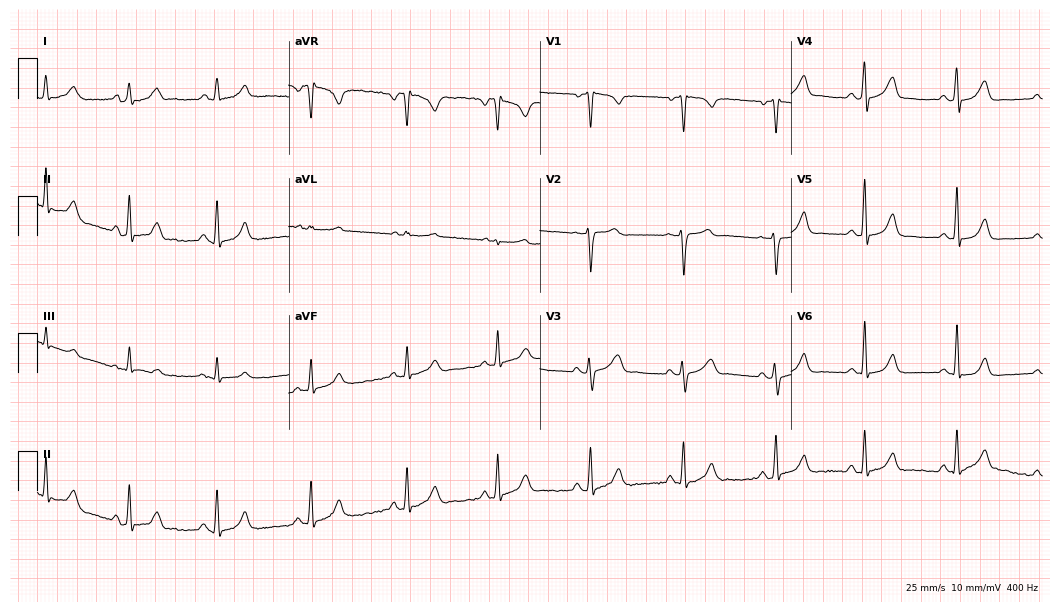
ECG — a female, 39 years old. Labelled as a normal ECG.